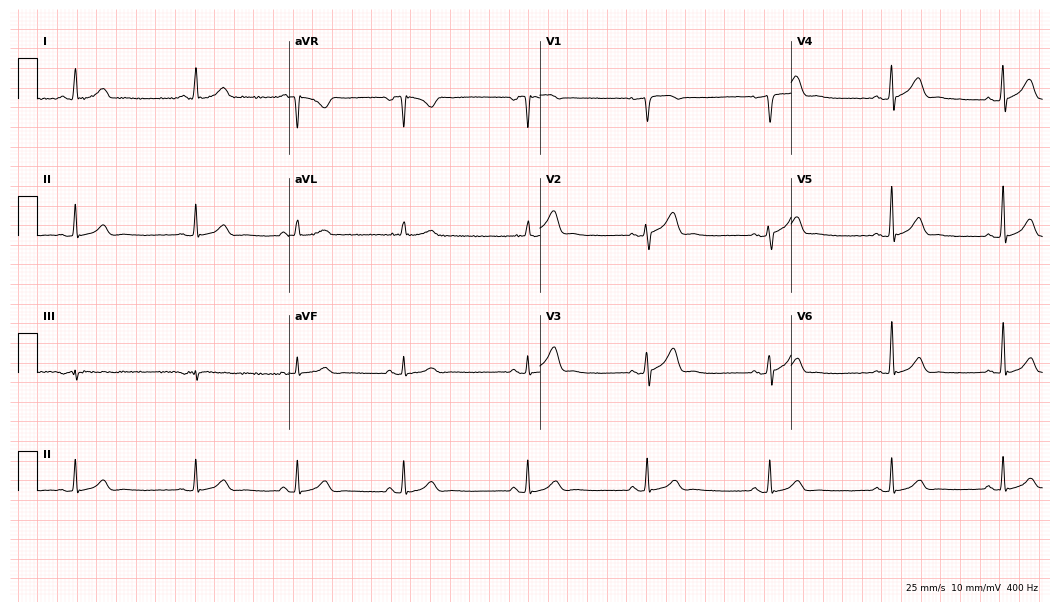
Electrocardiogram (10.2-second recording at 400 Hz), a male patient, 42 years old. Overall reading on record: normal ECG.